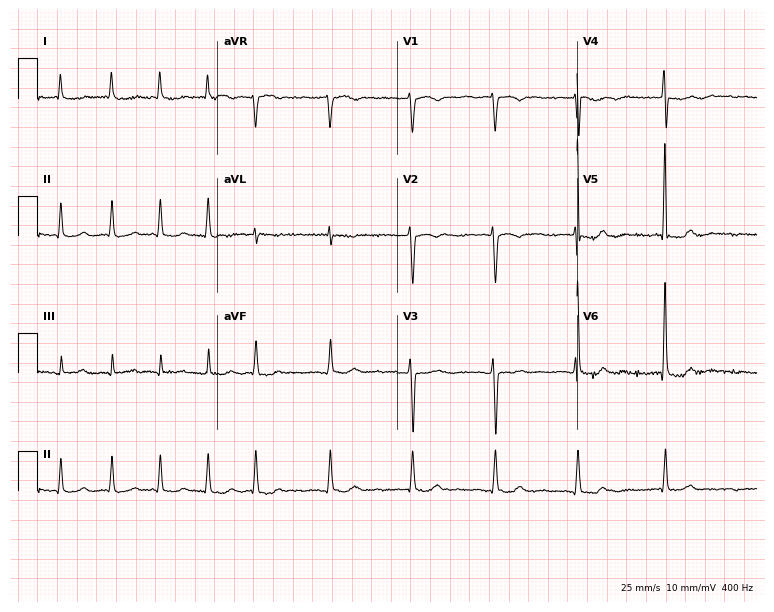
Electrocardiogram, an 85-year-old female patient. Interpretation includes atrial fibrillation.